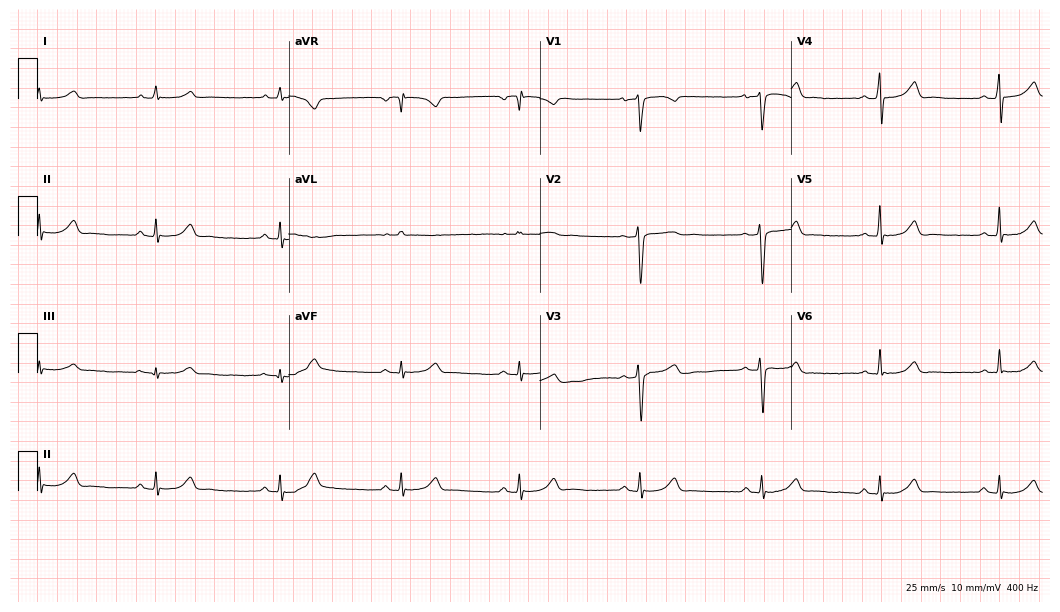
ECG (10.2-second recording at 400 Hz) — a 29-year-old female. Findings include sinus bradycardia (a sinus rate of 50 beats per minute or less).